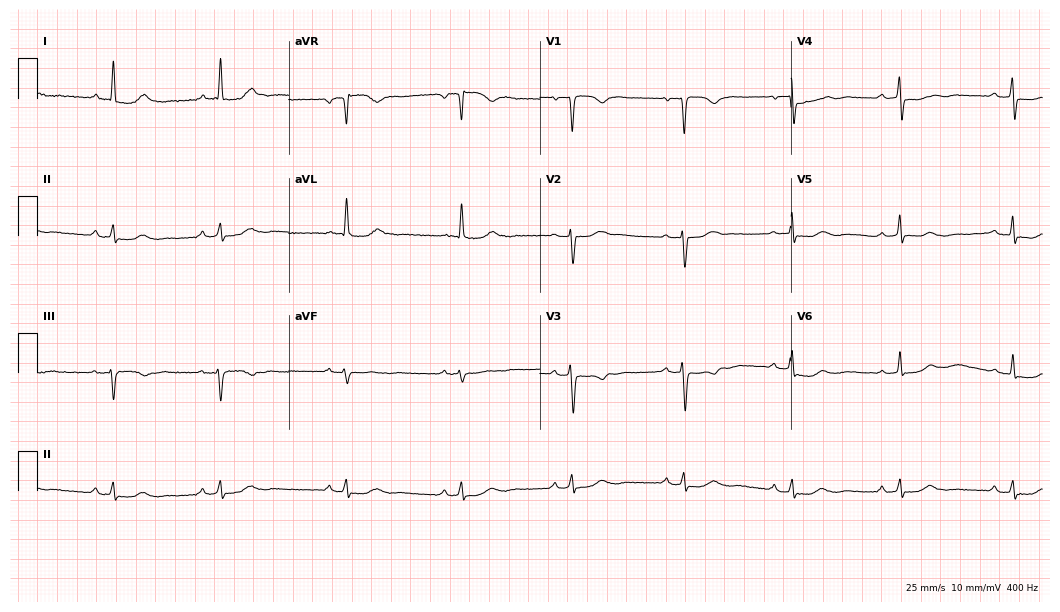
Resting 12-lead electrocardiogram (10.2-second recording at 400 Hz). Patient: a female, 59 years old. None of these six findings is recorded: first-degree AV block, right bundle branch block, left bundle branch block, sinus bradycardia, atrial fibrillation, sinus tachycardia.